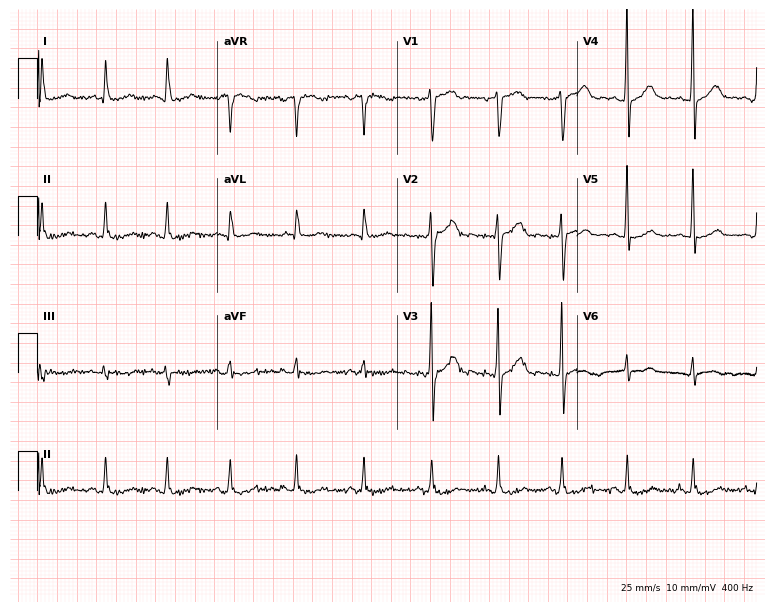
ECG — a 52-year-old male patient. Labelled as a normal ECG.